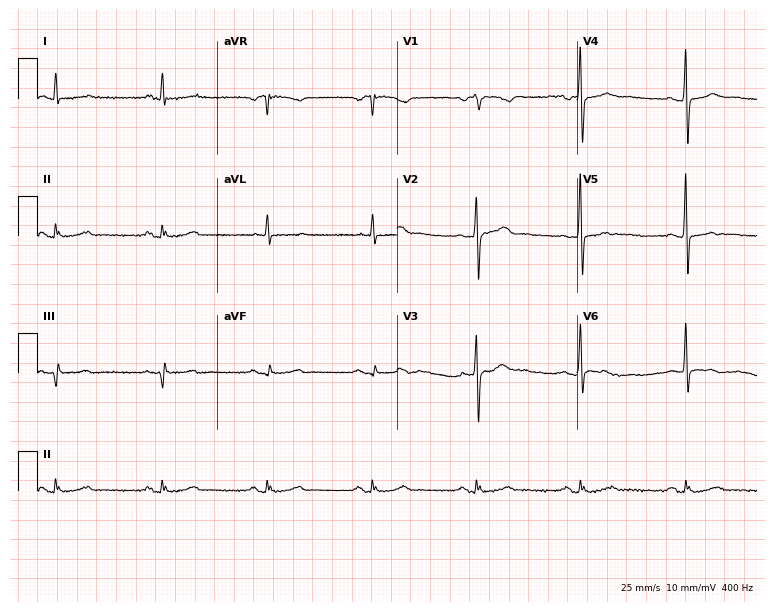
12-lead ECG from a male, 73 years old. No first-degree AV block, right bundle branch block, left bundle branch block, sinus bradycardia, atrial fibrillation or sinus tachycardia recorded for this tracing. Only these six findings were labelled.